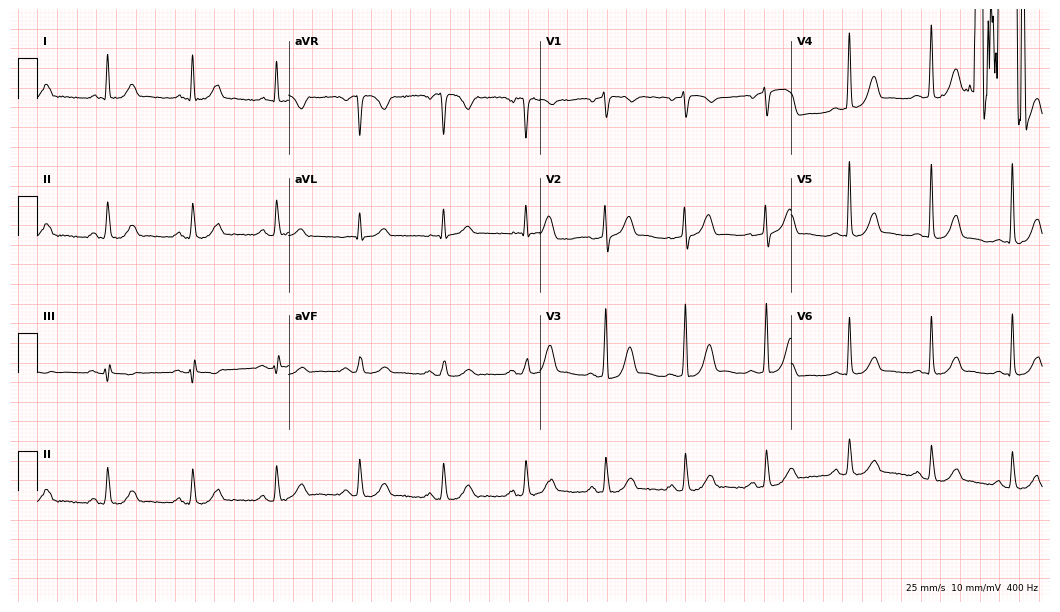
Standard 12-lead ECG recorded from a male, 65 years old (10.2-second recording at 400 Hz). Read as a normal ECG.